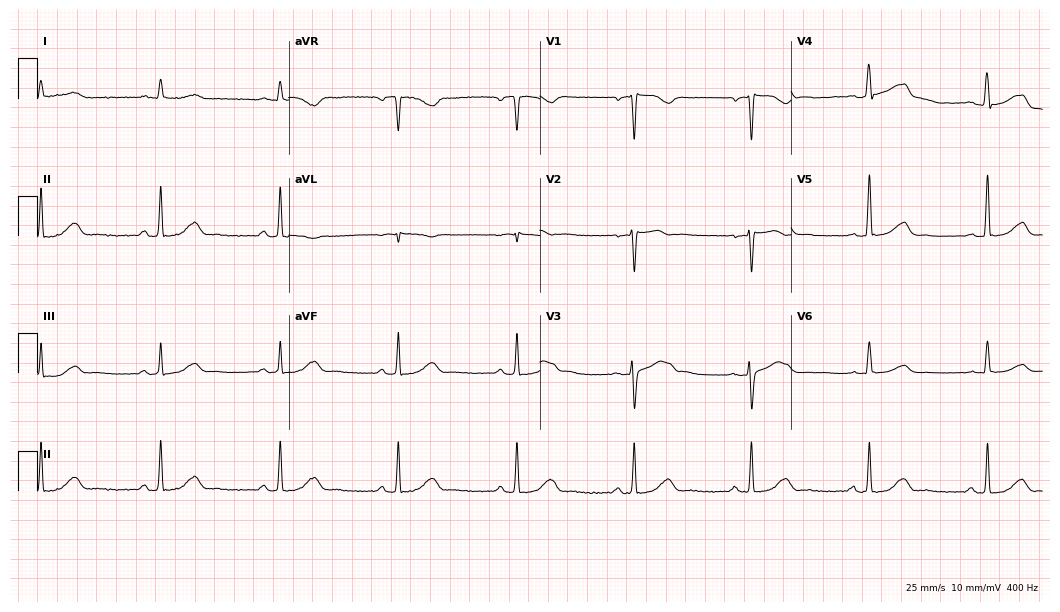
12-lead ECG from a man, 55 years old. No first-degree AV block, right bundle branch block (RBBB), left bundle branch block (LBBB), sinus bradycardia, atrial fibrillation (AF) or sinus tachycardia recorded for this tracing. Findings outside these six are not listed.